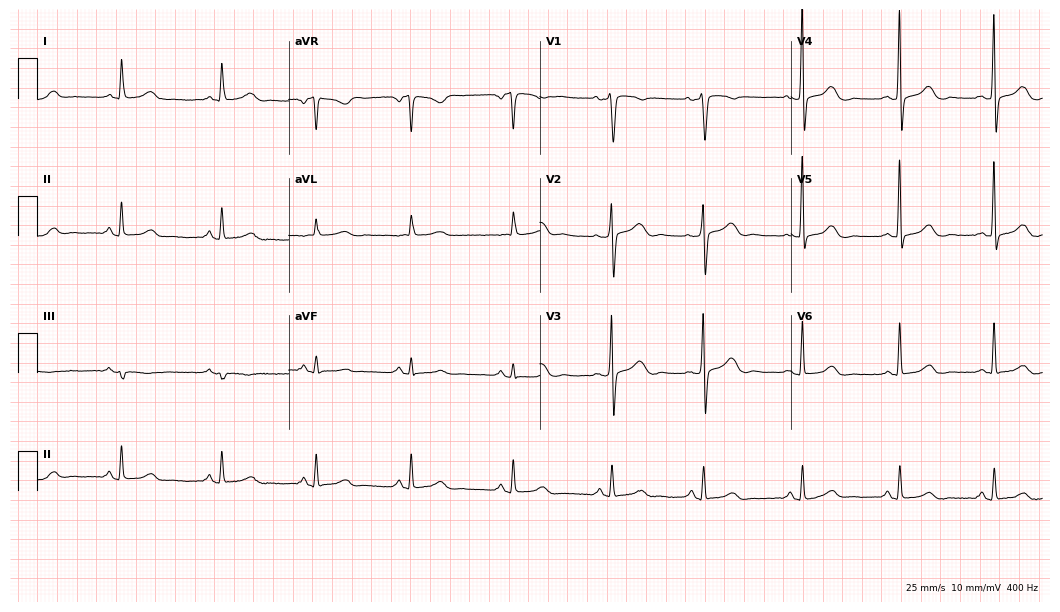
ECG — a 60-year-old female patient. Screened for six findings — first-degree AV block, right bundle branch block, left bundle branch block, sinus bradycardia, atrial fibrillation, sinus tachycardia — none is recorded.